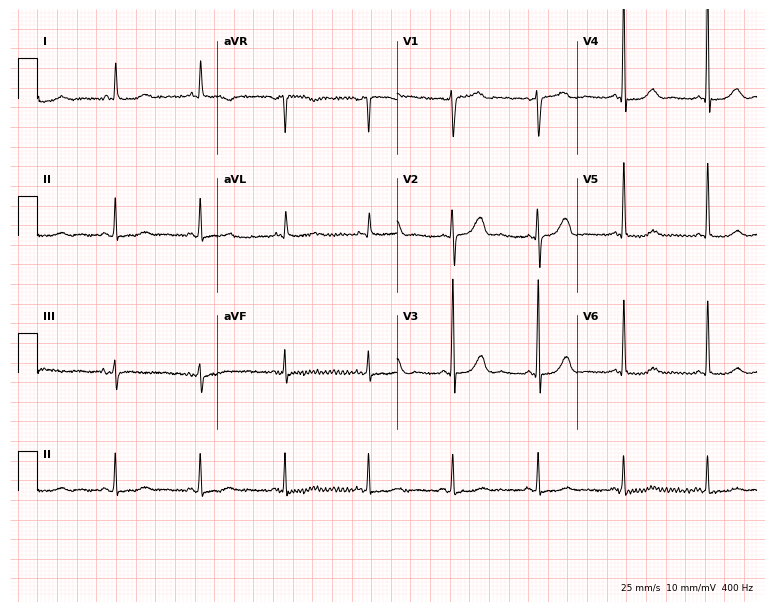
12-lead ECG from a female patient, 79 years old (7.3-second recording at 400 Hz). No first-degree AV block, right bundle branch block, left bundle branch block, sinus bradycardia, atrial fibrillation or sinus tachycardia recorded for this tracing. Only these six findings were labelled.